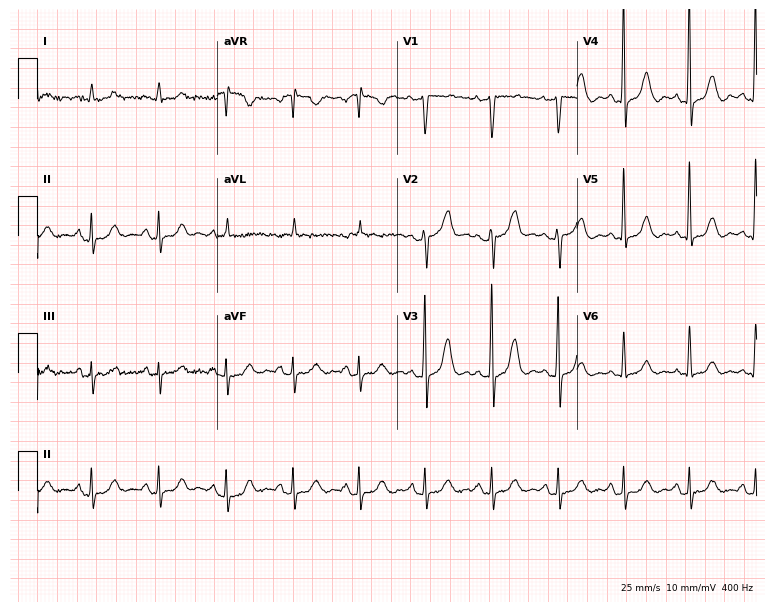
Standard 12-lead ECG recorded from a woman, 75 years old (7.3-second recording at 400 Hz). None of these six findings is recorded: first-degree AV block, right bundle branch block (RBBB), left bundle branch block (LBBB), sinus bradycardia, atrial fibrillation (AF), sinus tachycardia. Only these six findings were labelled.